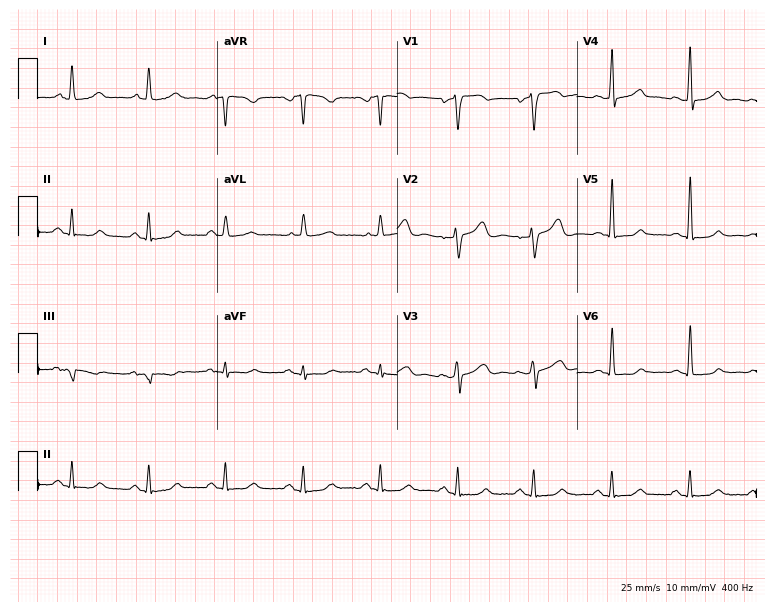
Standard 12-lead ECG recorded from a female patient, 51 years old (7.3-second recording at 400 Hz). None of these six findings is recorded: first-degree AV block, right bundle branch block (RBBB), left bundle branch block (LBBB), sinus bradycardia, atrial fibrillation (AF), sinus tachycardia. Other findings, if any, are not listed.